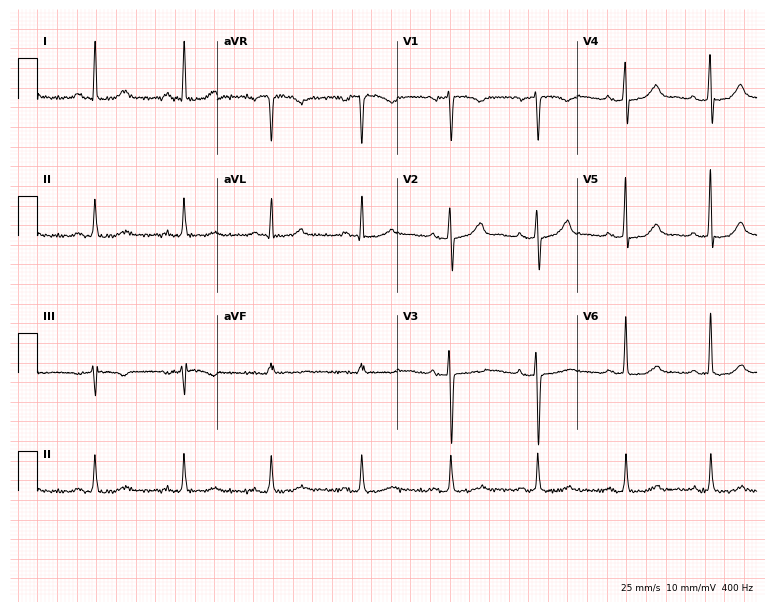
12-lead ECG from a 49-year-old woman. Labelled as a normal ECG.